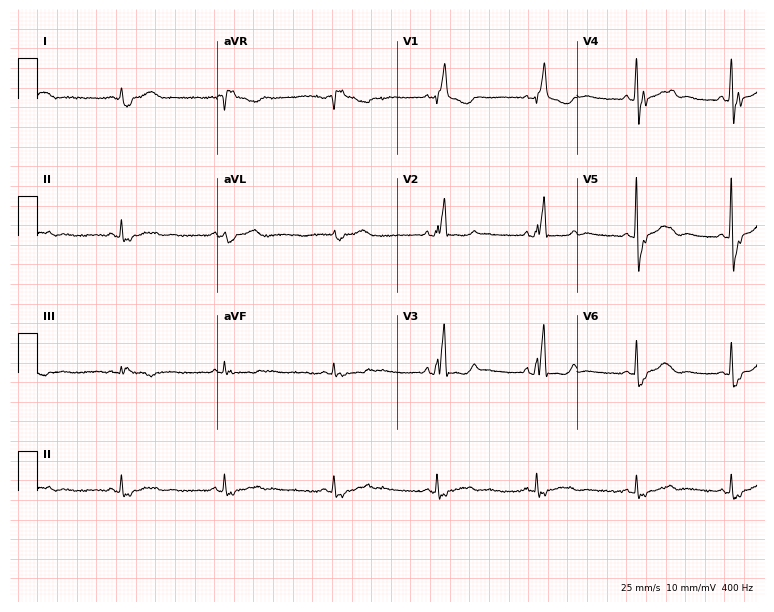
ECG — a female patient, 76 years old. Findings include right bundle branch block.